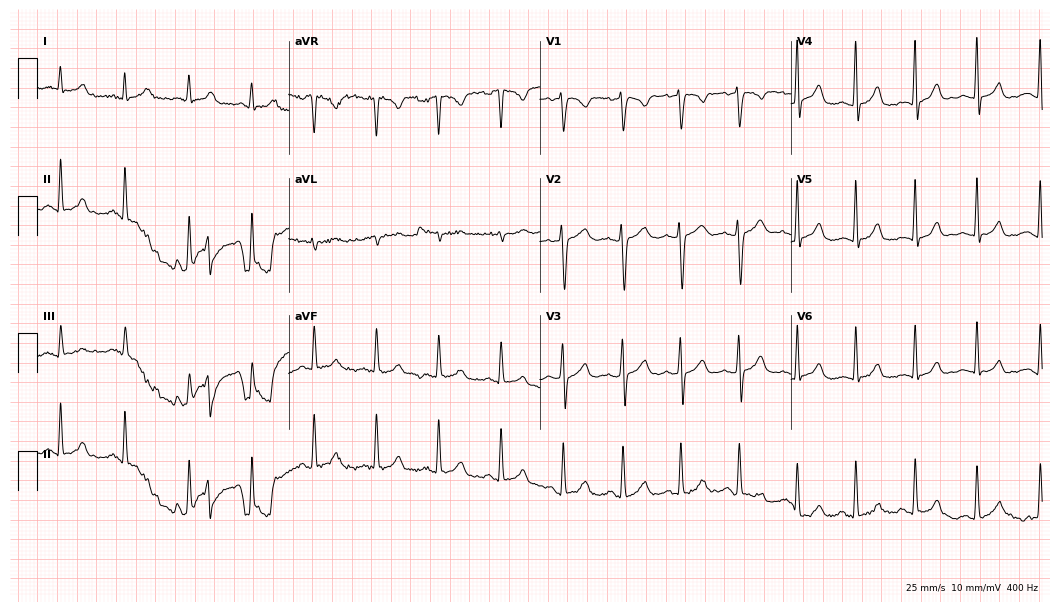
Standard 12-lead ECG recorded from a 38-year-old female (10.2-second recording at 400 Hz). Read as a normal ECG.